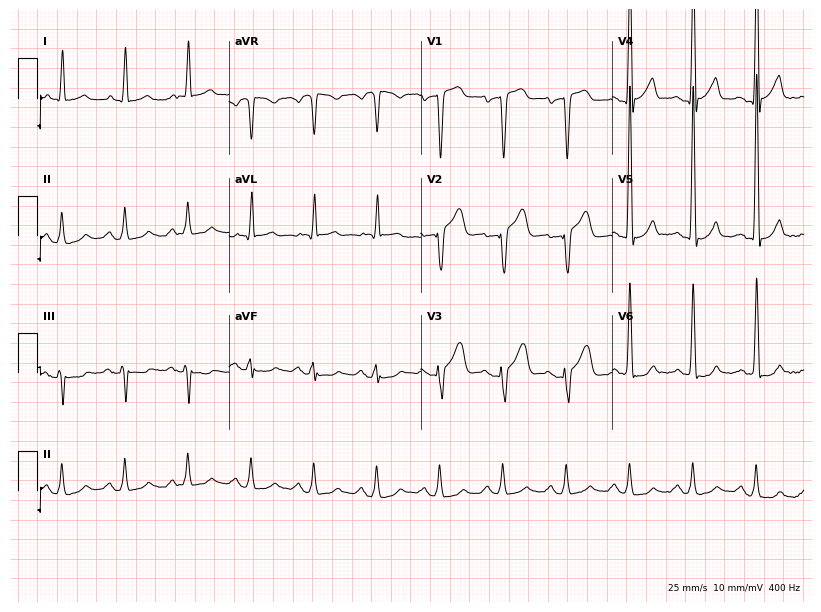
12-lead ECG (7.8-second recording at 400 Hz) from a 66-year-old male patient. Labelled as a normal ECG.